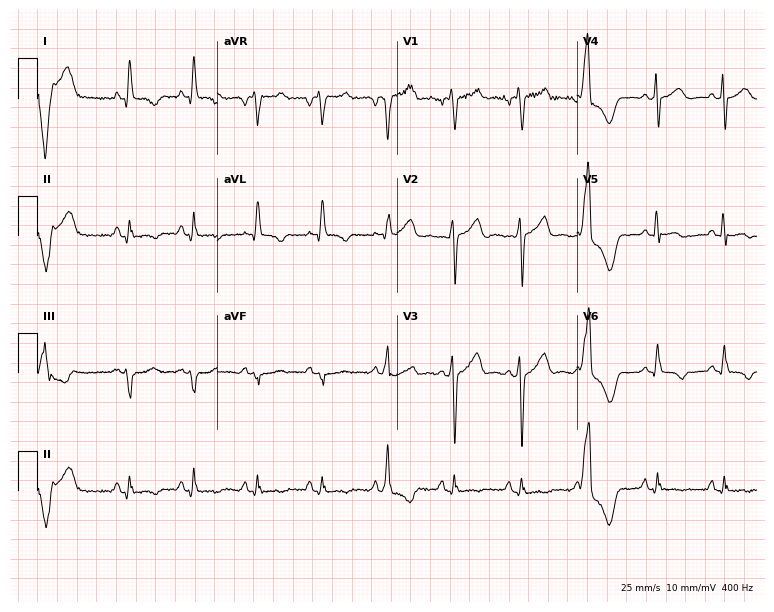
12-lead ECG from a 69-year-old man. No first-degree AV block, right bundle branch block, left bundle branch block, sinus bradycardia, atrial fibrillation or sinus tachycardia recorded for this tracing.